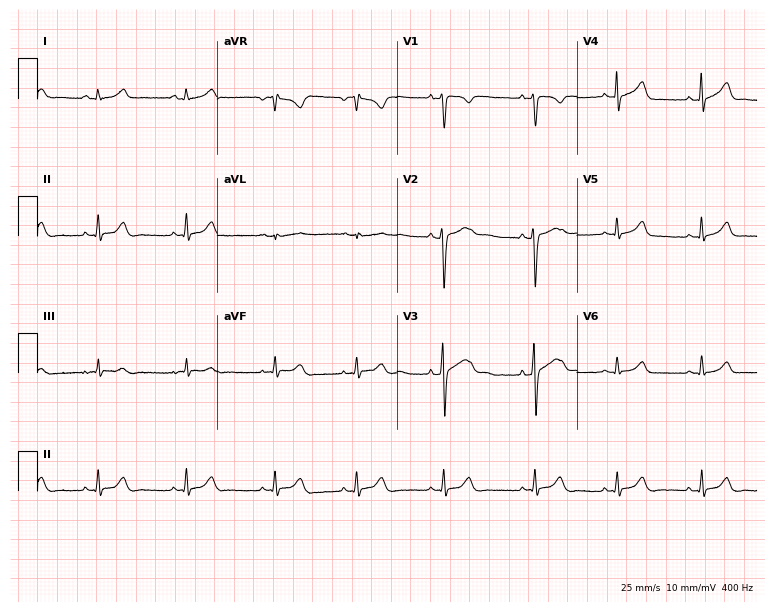
12-lead ECG from a female patient, 19 years old. Recorded interpretation: within normal limits.